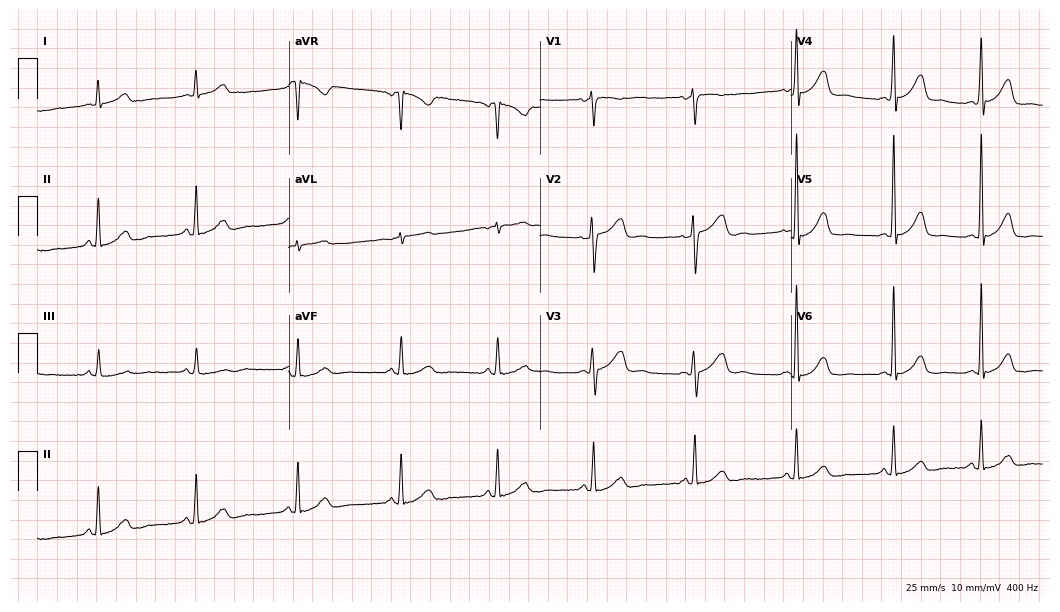
12-lead ECG from a female patient, 36 years old. Labelled as a normal ECG.